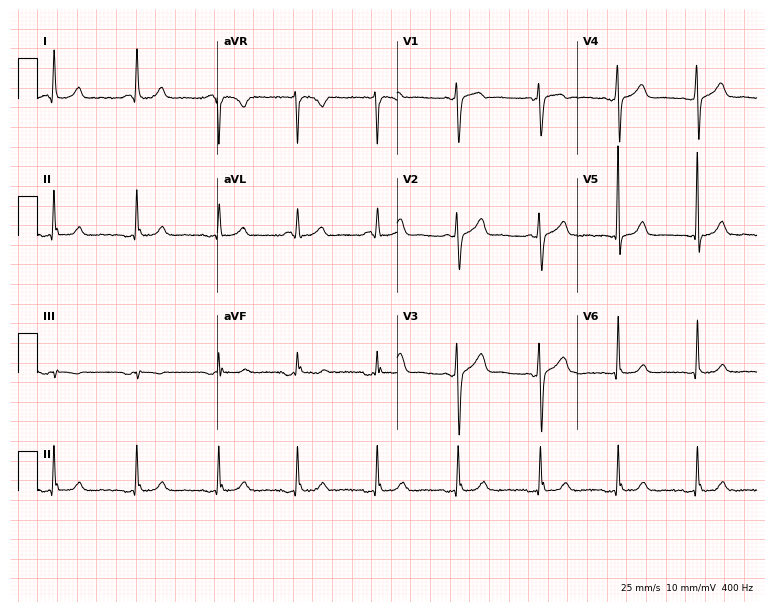
ECG — a 66-year-old woman. Labelled as a normal ECG.